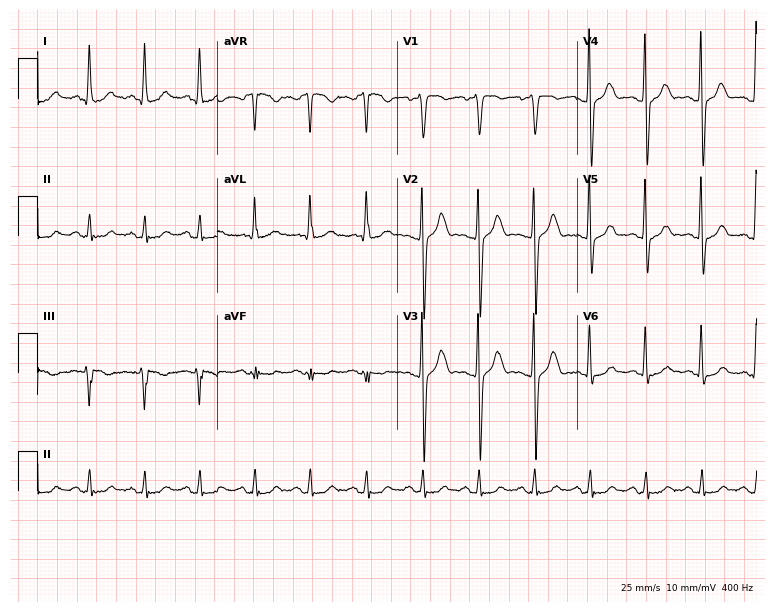
Resting 12-lead electrocardiogram. Patient: a 37-year-old female. None of these six findings is recorded: first-degree AV block, right bundle branch block, left bundle branch block, sinus bradycardia, atrial fibrillation, sinus tachycardia. Other findings, if any, are not listed.